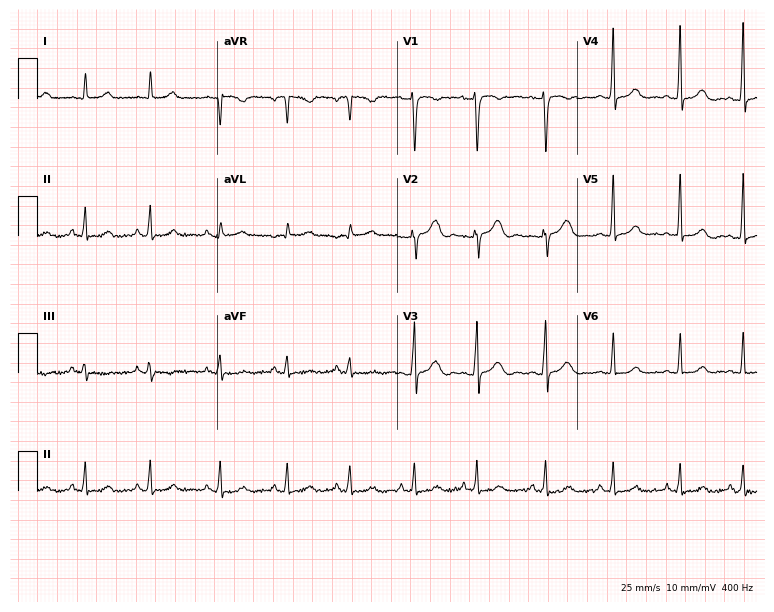
12-lead ECG from a male patient, 41 years old. Screened for six findings — first-degree AV block, right bundle branch block, left bundle branch block, sinus bradycardia, atrial fibrillation, sinus tachycardia — none is recorded.